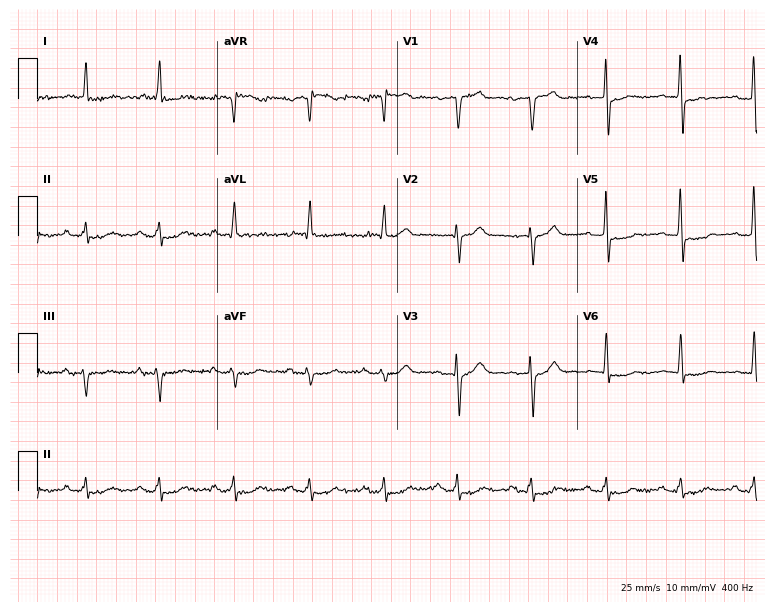
ECG — a man, 66 years old. Screened for six findings — first-degree AV block, right bundle branch block, left bundle branch block, sinus bradycardia, atrial fibrillation, sinus tachycardia — none is recorded.